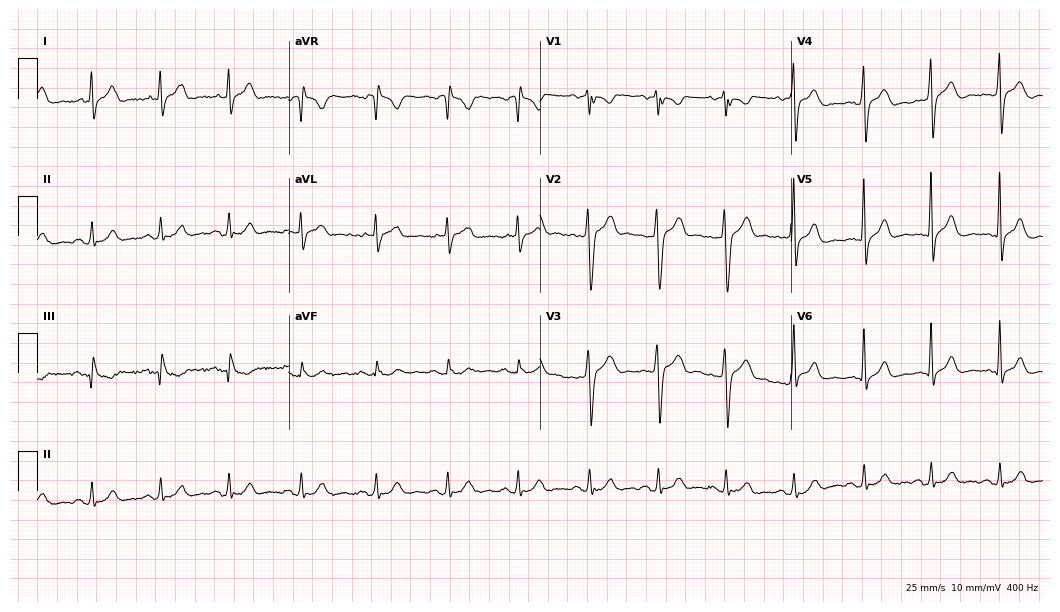
12-lead ECG from a male, 32 years old. Screened for six findings — first-degree AV block, right bundle branch block, left bundle branch block, sinus bradycardia, atrial fibrillation, sinus tachycardia — none is recorded. Other findings, if any, are not listed.